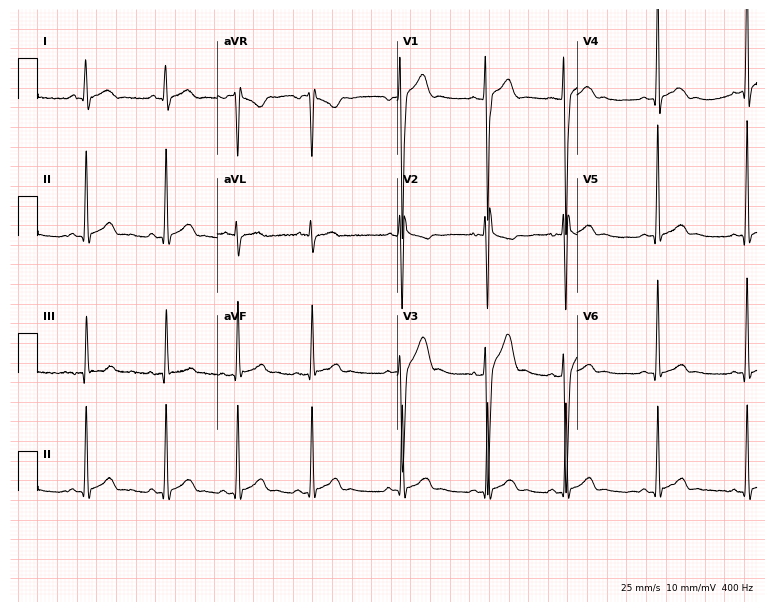
Resting 12-lead electrocardiogram. Patient: an 18-year-old man. None of these six findings is recorded: first-degree AV block, right bundle branch block, left bundle branch block, sinus bradycardia, atrial fibrillation, sinus tachycardia.